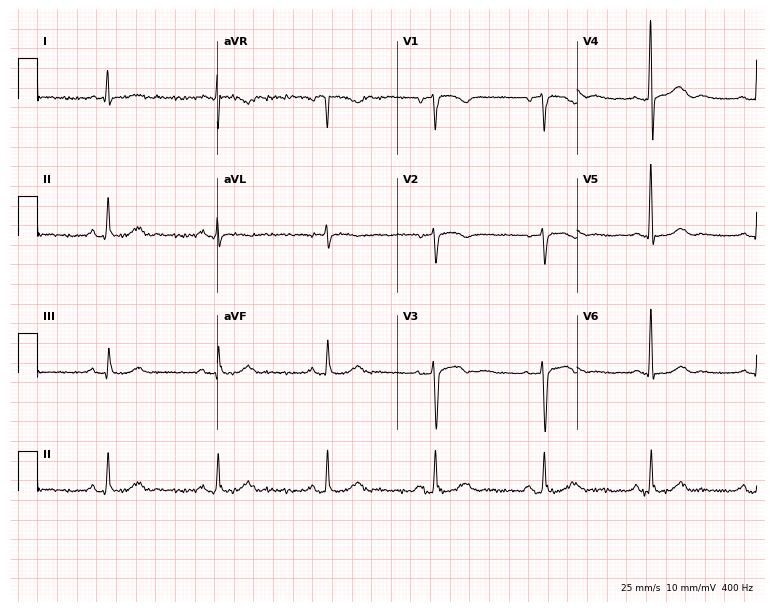
Electrocardiogram, a 72-year-old female. Of the six screened findings (first-degree AV block, right bundle branch block, left bundle branch block, sinus bradycardia, atrial fibrillation, sinus tachycardia), none is recorded. Only these six findings were labelled.